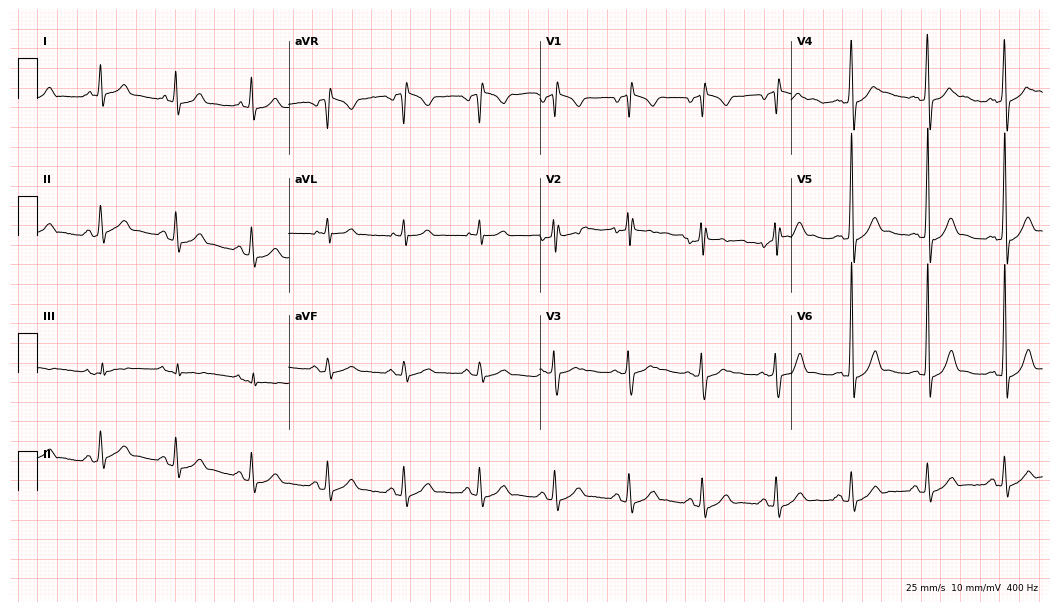
12-lead ECG from a man, 45 years old. No first-degree AV block, right bundle branch block (RBBB), left bundle branch block (LBBB), sinus bradycardia, atrial fibrillation (AF) or sinus tachycardia recorded for this tracing. Findings outside these six are not listed.